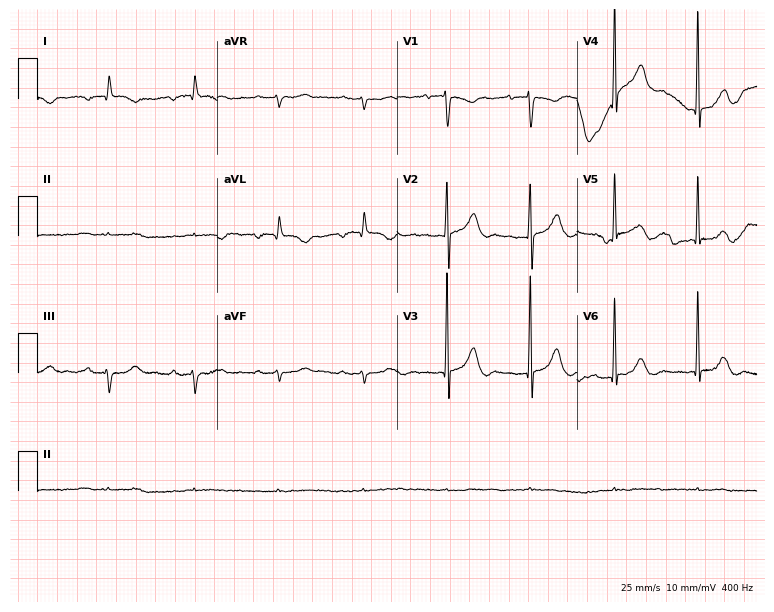
12-lead ECG from a male patient, 70 years old. No first-degree AV block, right bundle branch block (RBBB), left bundle branch block (LBBB), sinus bradycardia, atrial fibrillation (AF) or sinus tachycardia recorded for this tracing.